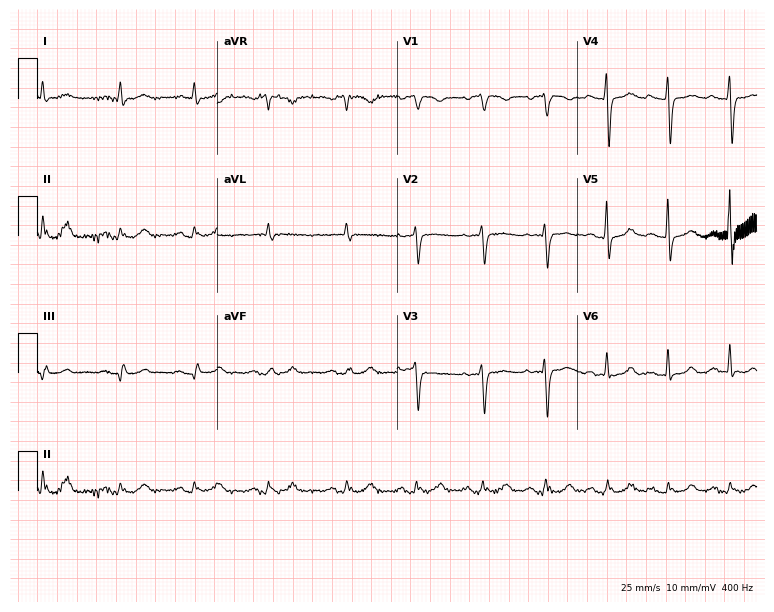
Electrocardiogram (7.3-second recording at 400 Hz), a 73-year-old female. Of the six screened findings (first-degree AV block, right bundle branch block, left bundle branch block, sinus bradycardia, atrial fibrillation, sinus tachycardia), none is recorded.